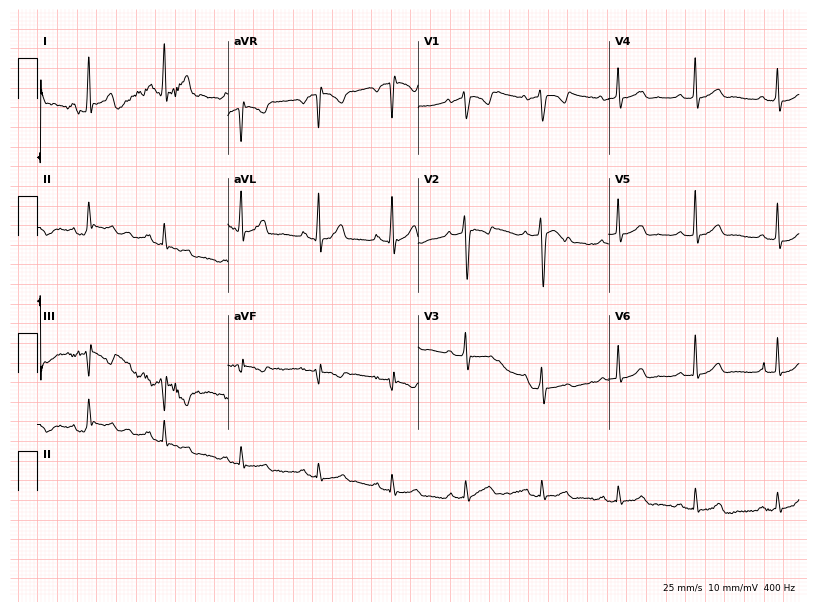
Standard 12-lead ECG recorded from a female patient, 20 years old (7.8-second recording at 400 Hz). None of these six findings is recorded: first-degree AV block, right bundle branch block, left bundle branch block, sinus bradycardia, atrial fibrillation, sinus tachycardia.